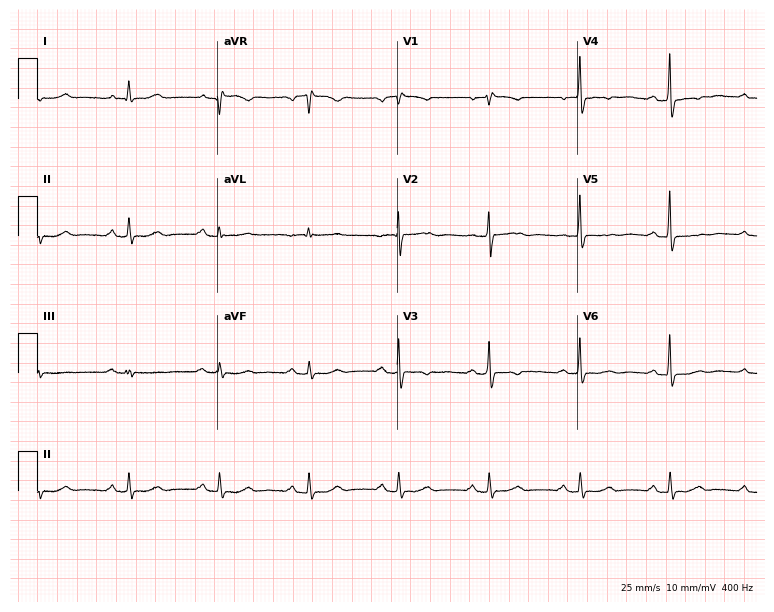
12-lead ECG (7.3-second recording at 400 Hz) from a 73-year-old woman. Screened for six findings — first-degree AV block, right bundle branch block, left bundle branch block, sinus bradycardia, atrial fibrillation, sinus tachycardia — none is recorded.